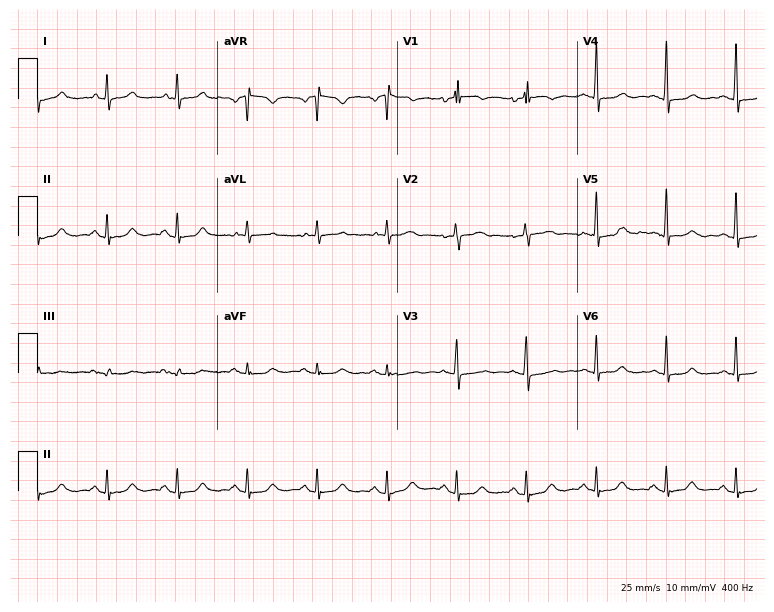
ECG (7.3-second recording at 400 Hz) — a woman, 63 years old. Screened for six findings — first-degree AV block, right bundle branch block, left bundle branch block, sinus bradycardia, atrial fibrillation, sinus tachycardia — none is recorded. Other findings, if any, are not listed.